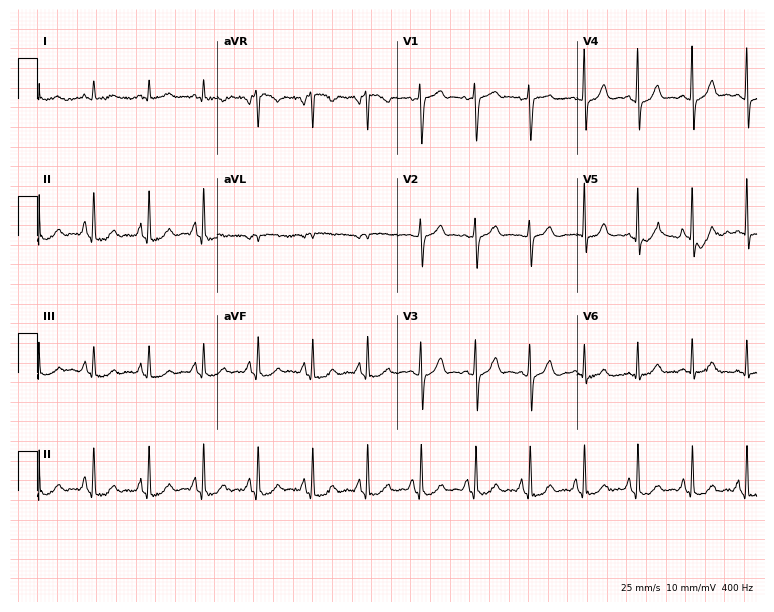
Electrocardiogram (7.3-second recording at 400 Hz), a male patient, 65 years old. Of the six screened findings (first-degree AV block, right bundle branch block (RBBB), left bundle branch block (LBBB), sinus bradycardia, atrial fibrillation (AF), sinus tachycardia), none is recorded.